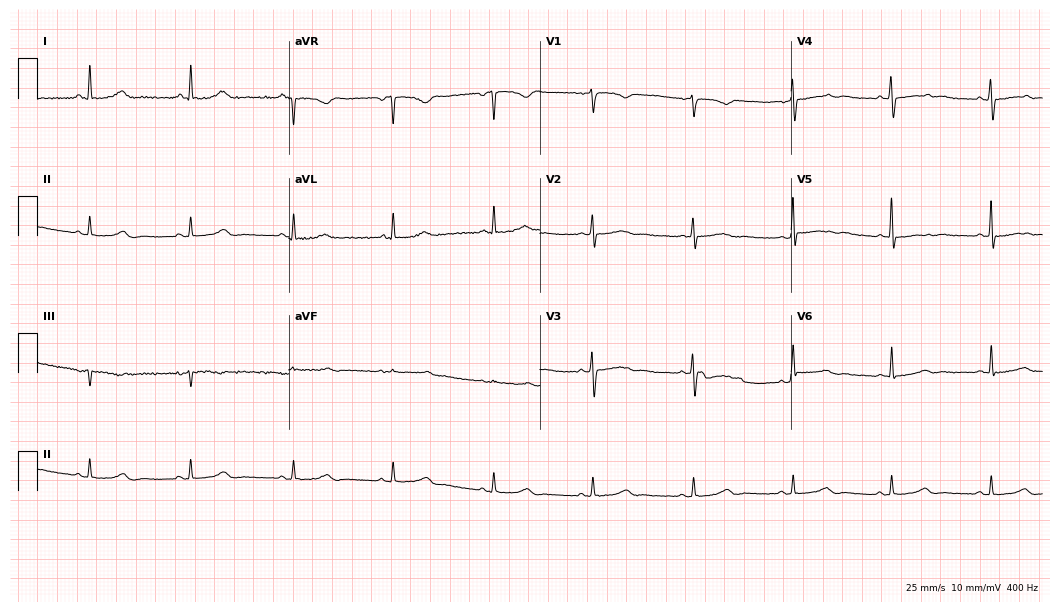
Standard 12-lead ECG recorded from a woman, 55 years old (10.2-second recording at 400 Hz). Read as a normal ECG.